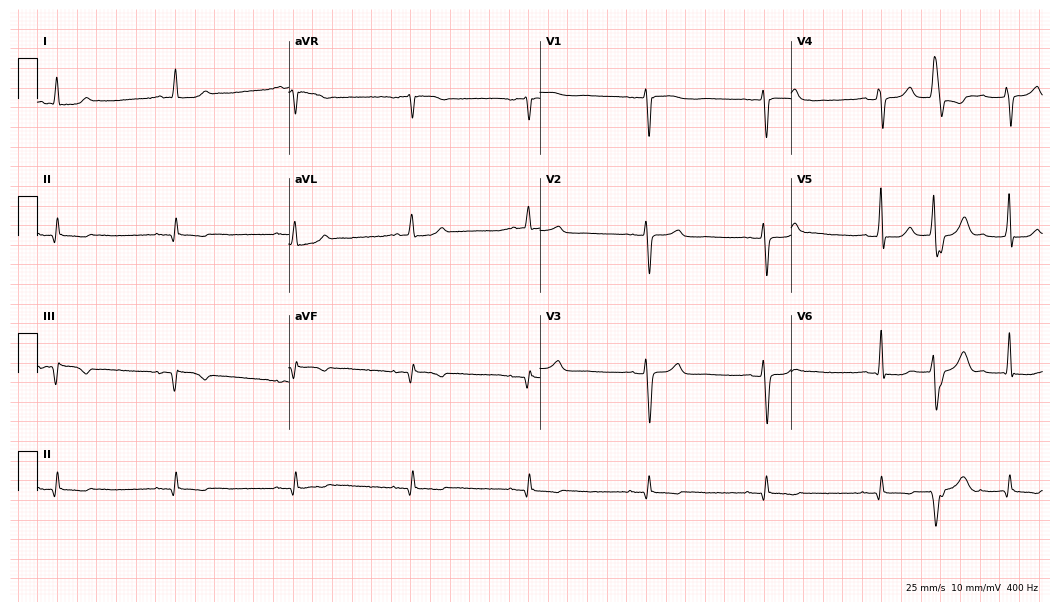
Electrocardiogram (10.2-second recording at 400 Hz), a male patient, 71 years old. Of the six screened findings (first-degree AV block, right bundle branch block (RBBB), left bundle branch block (LBBB), sinus bradycardia, atrial fibrillation (AF), sinus tachycardia), none is recorded. Only these six findings were labelled.